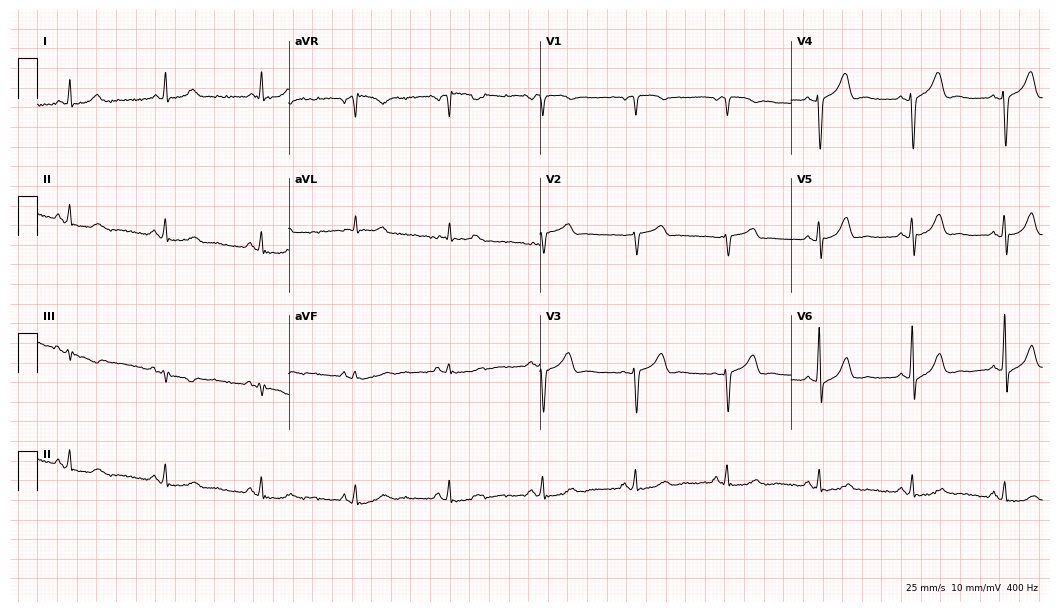
ECG — a 58-year-old female patient. Labelled as a normal ECG.